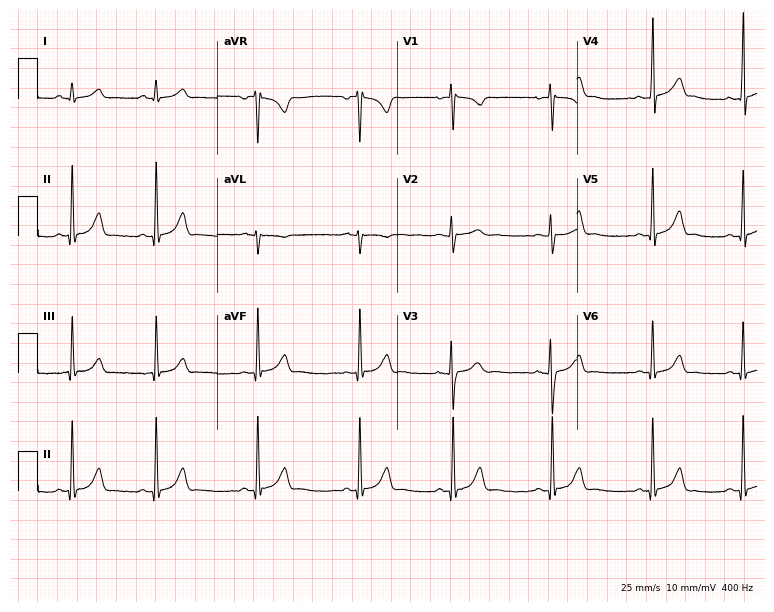
ECG — a woman, 17 years old. Labelled as a normal ECG.